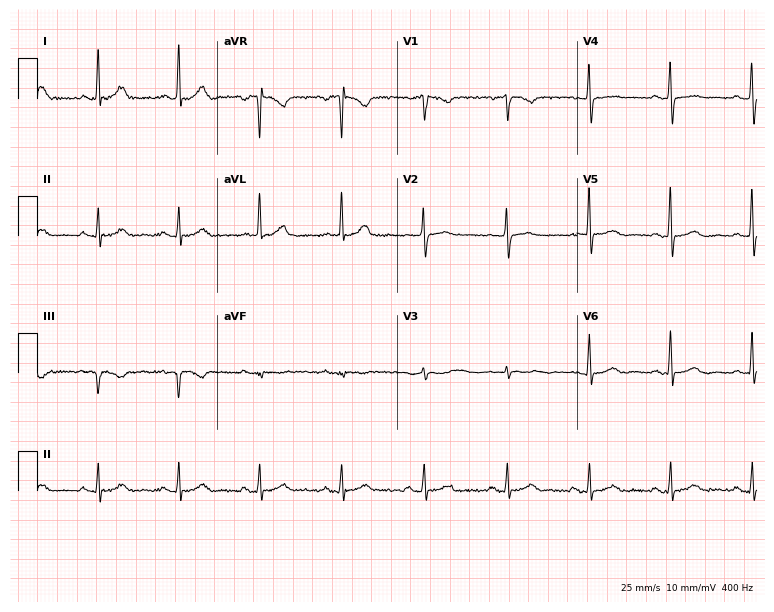
12-lead ECG from a woman, 71 years old. Recorded interpretation: within normal limits.